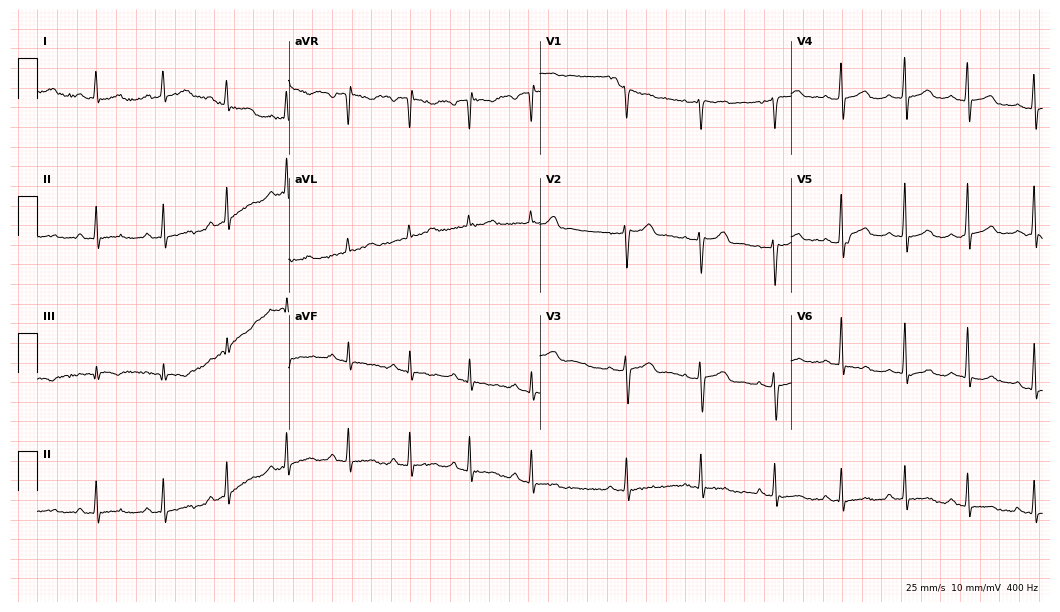
Resting 12-lead electrocardiogram. Patient: a 37-year-old female. None of these six findings is recorded: first-degree AV block, right bundle branch block, left bundle branch block, sinus bradycardia, atrial fibrillation, sinus tachycardia. Only these six findings were labelled.